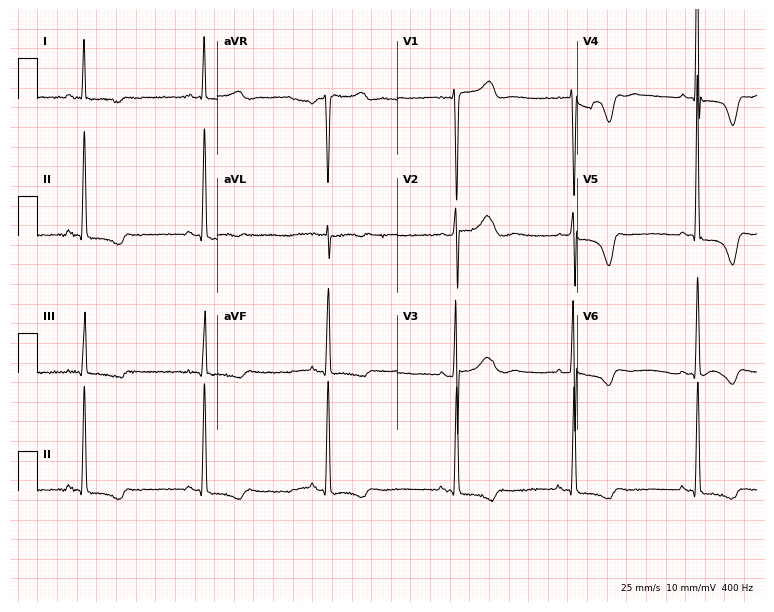
Electrocardiogram (7.3-second recording at 400 Hz), an 80-year-old female patient. Interpretation includes sinus bradycardia (a sinus rate of 50 beats per minute or less).